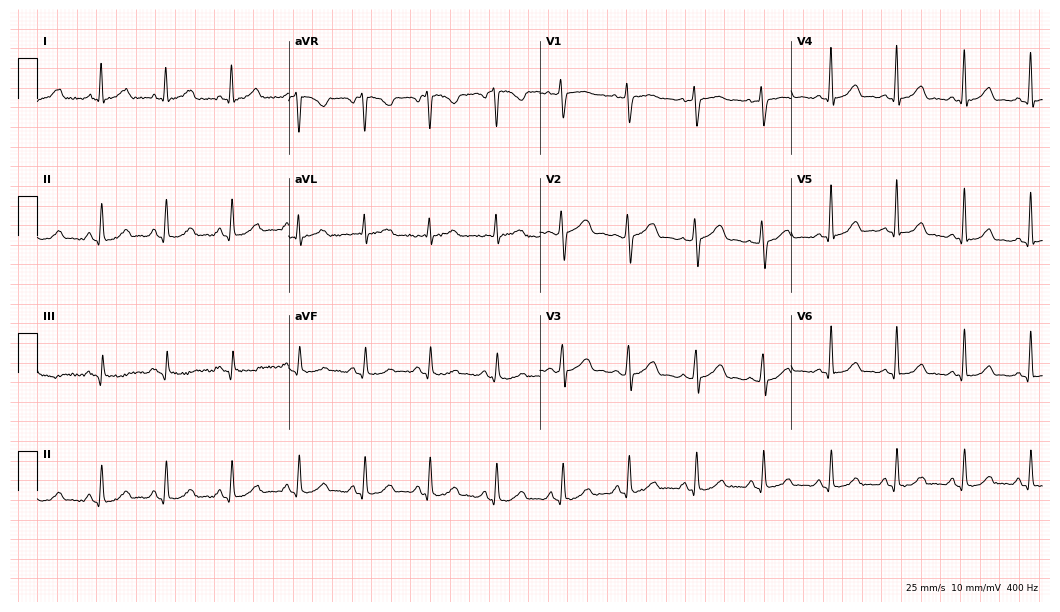
12-lead ECG from a 31-year-old woman (10.2-second recording at 400 Hz). Recorded interpretation: within normal limits.